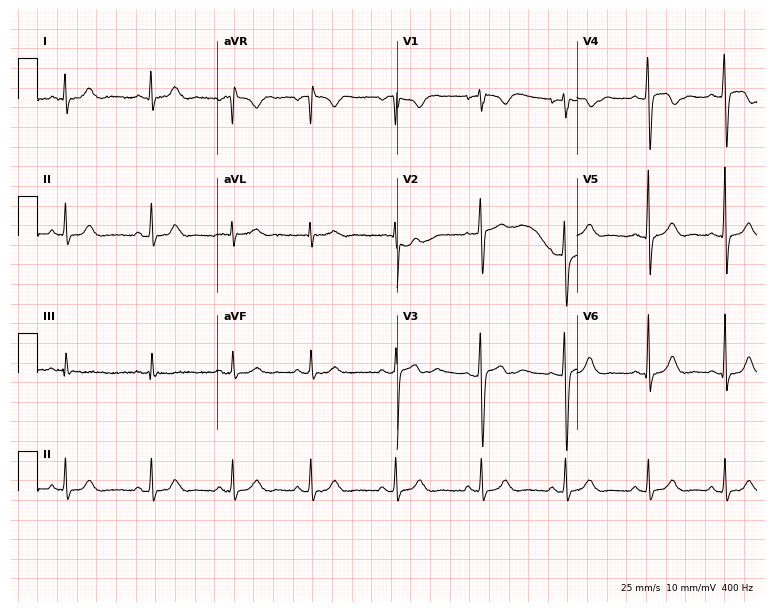
ECG (7.3-second recording at 400 Hz) — a woman, 17 years old. Labelled as a normal ECG.